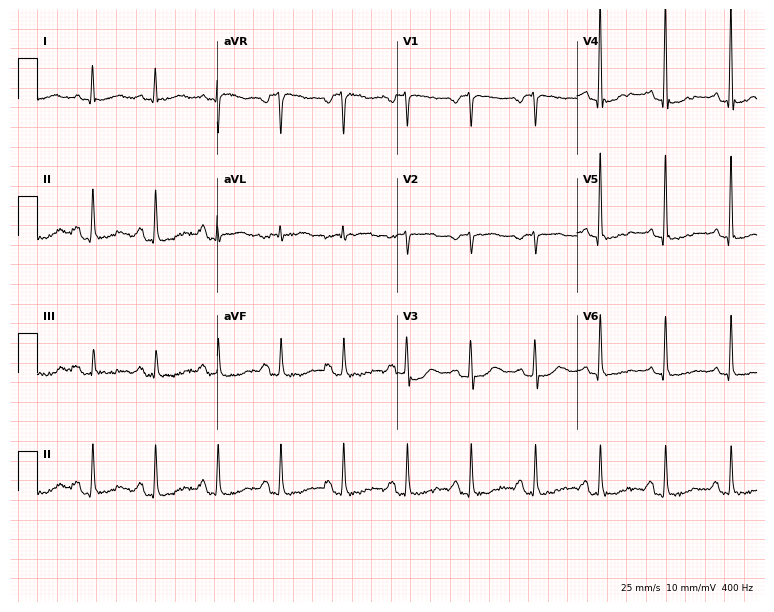
Electrocardiogram, a 58-year-old woman. Of the six screened findings (first-degree AV block, right bundle branch block, left bundle branch block, sinus bradycardia, atrial fibrillation, sinus tachycardia), none is recorded. Findings outside these six are not listed.